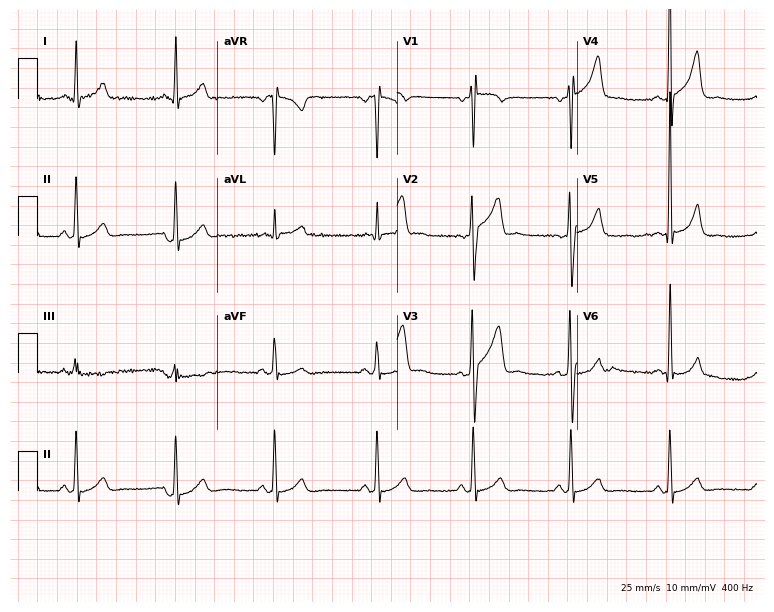
12-lead ECG from a 38-year-old male. Recorded interpretation: within normal limits.